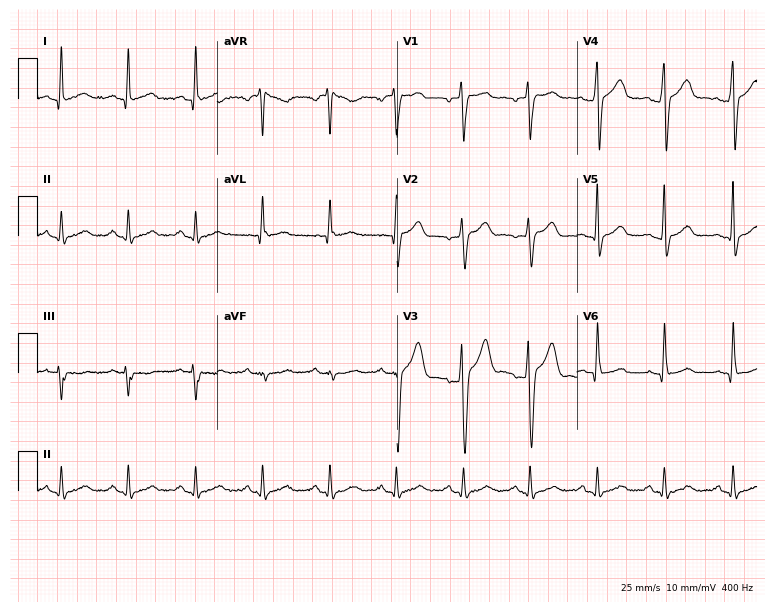
Resting 12-lead electrocardiogram (7.3-second recording at 400 Hz). Patient: a 32-year-old male. Read as a normal ECG.